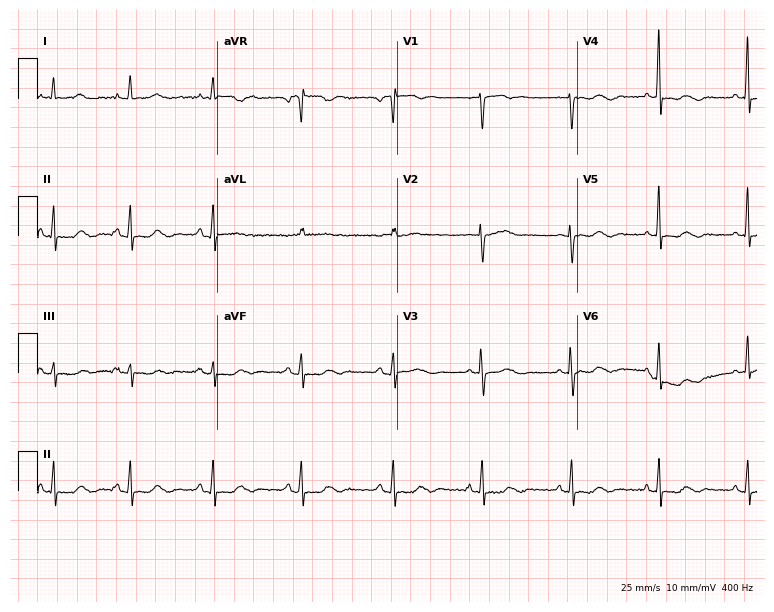
ECG — a woman, 57 years old. Screened for six findings — first-degree AV block, right bundle branch block, left bundle branch block, sinus bradycardia, atrial fibrillation, sinus tachycardia — none is recorded.